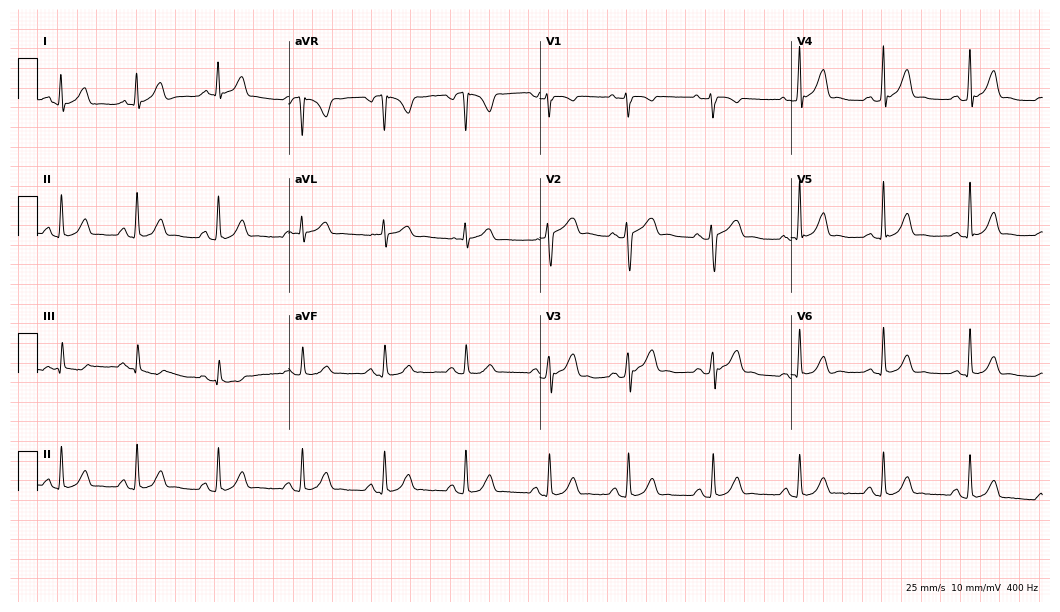
12-lead ECG from a female, 41 years old. Recorded interpretation: within normal limits.